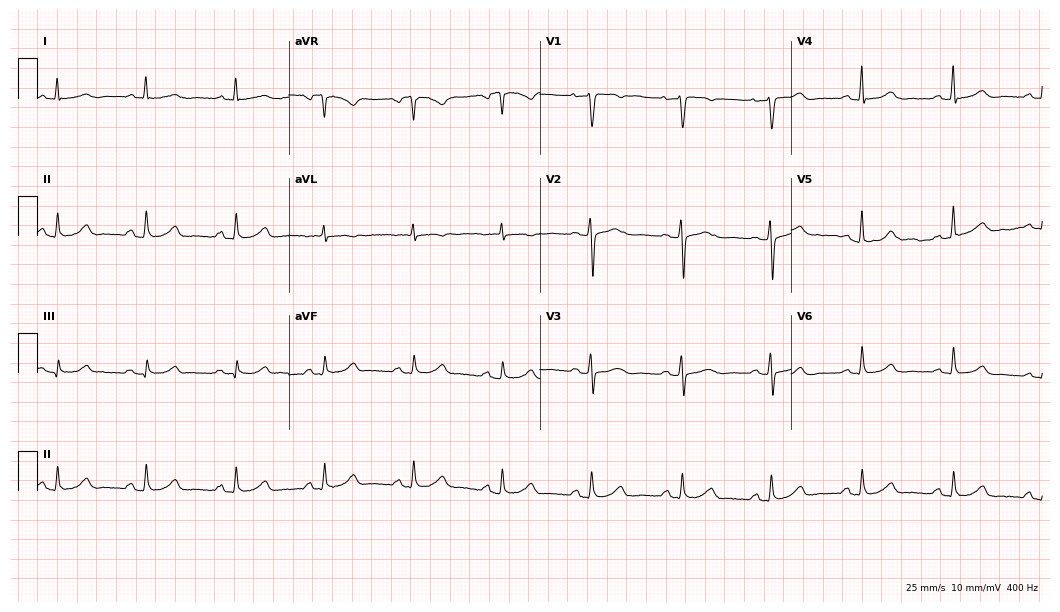
12-lead ECG from a 76-year-old female. Recorded interpretation: within normal limits.